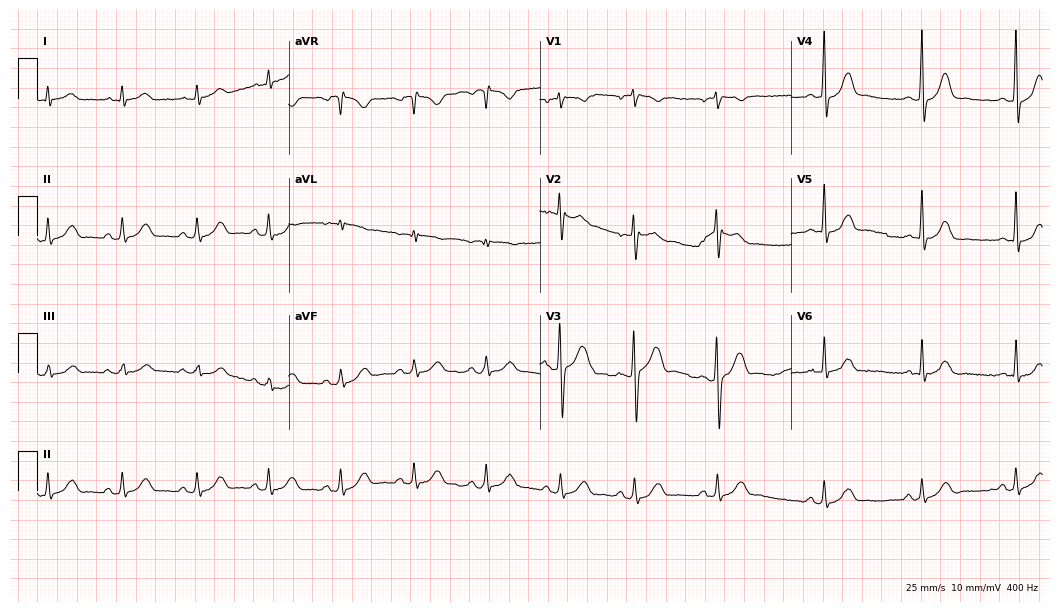
Resting 12-lead electrocardiogram. Patient: a 36-year-old male. Read as a normal ECG.